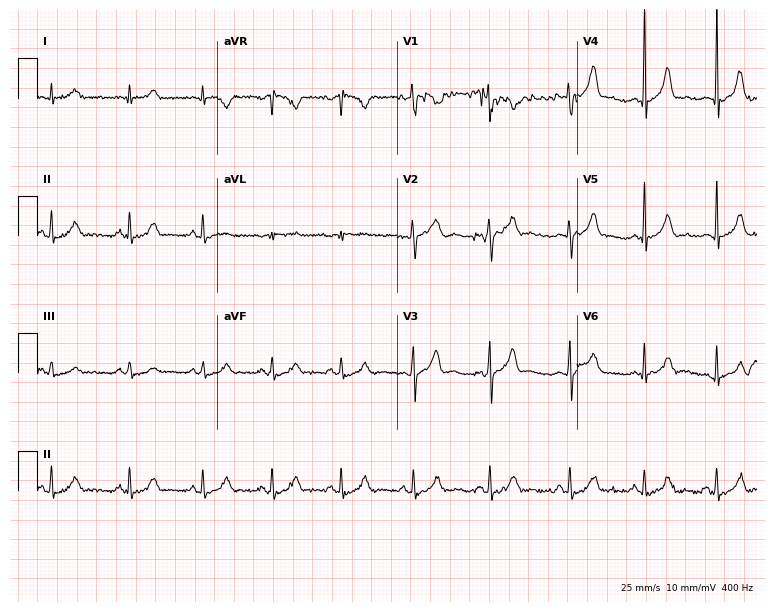
Standard 12-lead ECG recorded from a female, 25 years old. None of these six findings is recorded: first-degree AV block, right bundle branch block (RBBB), left bundle branch block (LBBB), sinus bradycardia, atrial fibrillation (AF), sinus tachycardia. Findings outside these six are not listed.